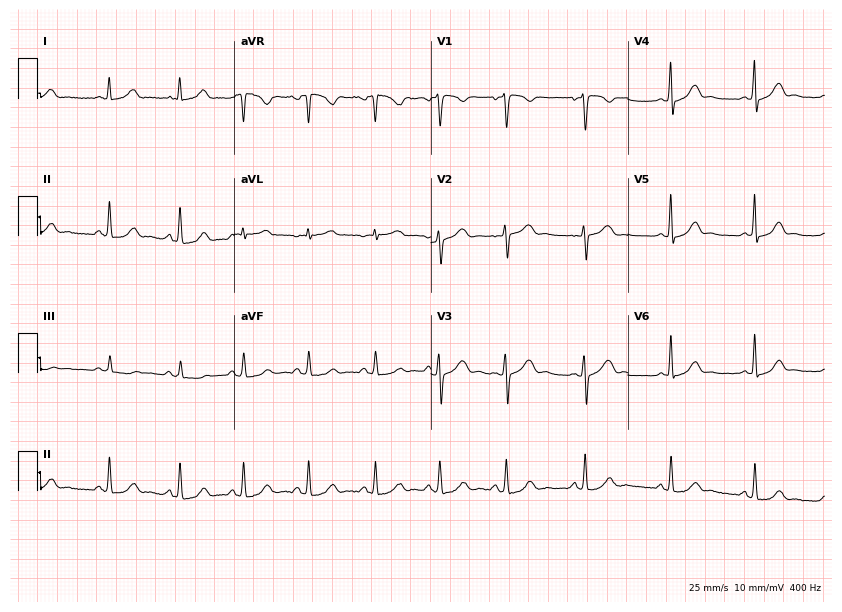
ECG — a 39-year-old woman. Labelled as a normal ECG.